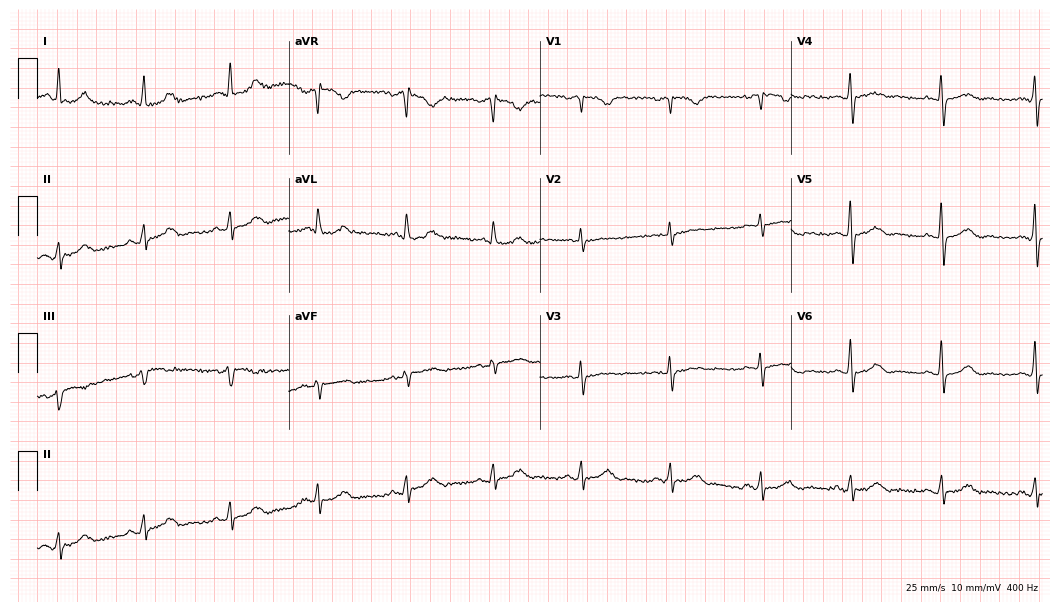
Resting 12-lead electrocardiogram. Patient: a 78-year-old female. None of these six findings is recorded: first-degree AV block, right bundle branch block, left bundle branch block, sinus bradycardia, atrial fibrillation, sinus tachycardia. Findings outside these six are not listed.